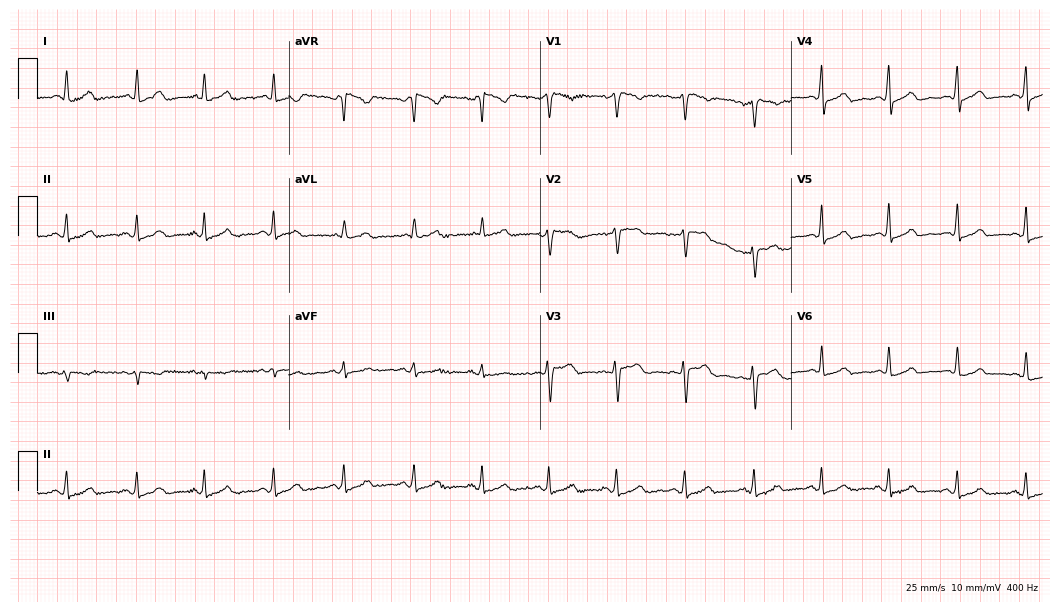
Standard 12-lead ECG recorded from a female, 37 years old. Read as a normal ECG.